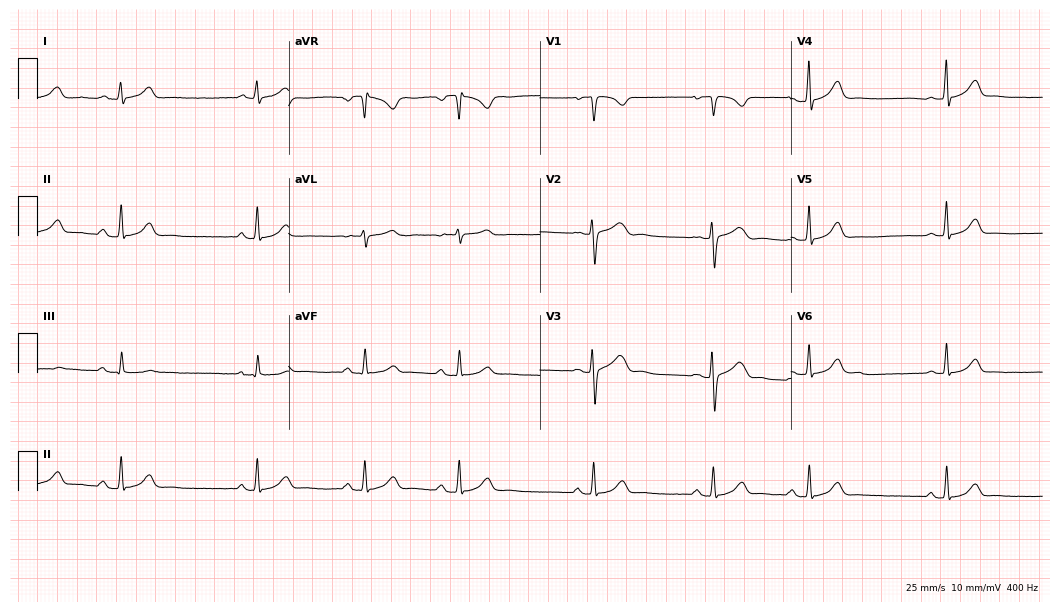
ECG — a woman, 20 years old. Findings include first-degree AV block.